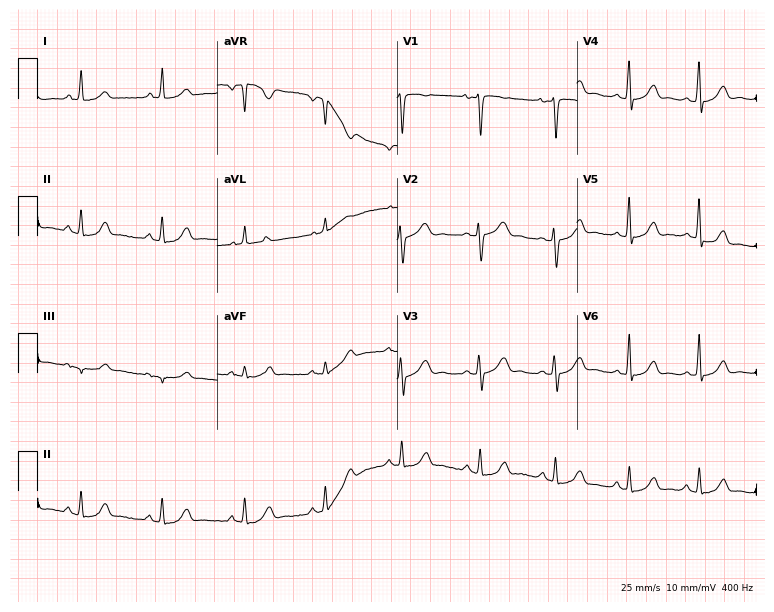
ECG (7.3-second recording at 400 Hz) — a 30-year-old woman. Screened for six findings — first-degree AV block, right bundle branch block, left bundle branch block, sinus bradycardia, atrial fibrillation, sinus tachycardia — none is recorded.